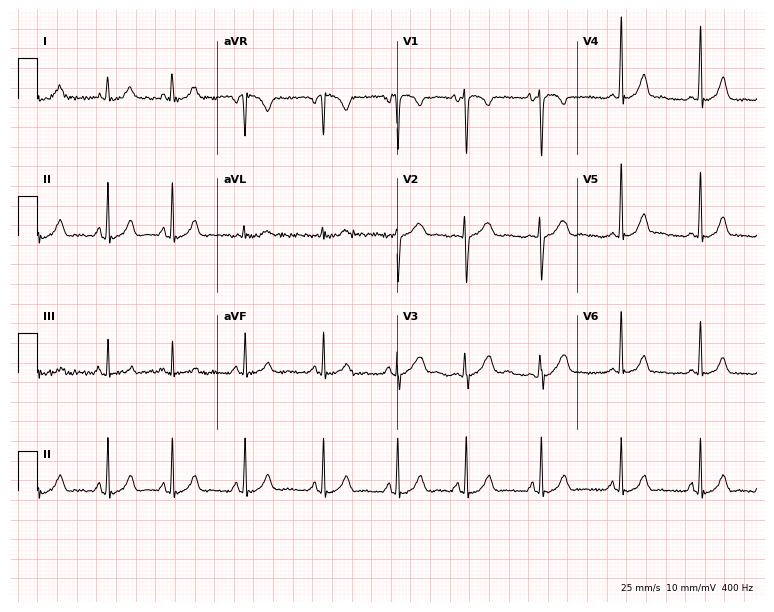
12-lead ECG (7.3-second recording at 400 Hz) from a female patient, 24 years old. Labelled as a normal ECG.